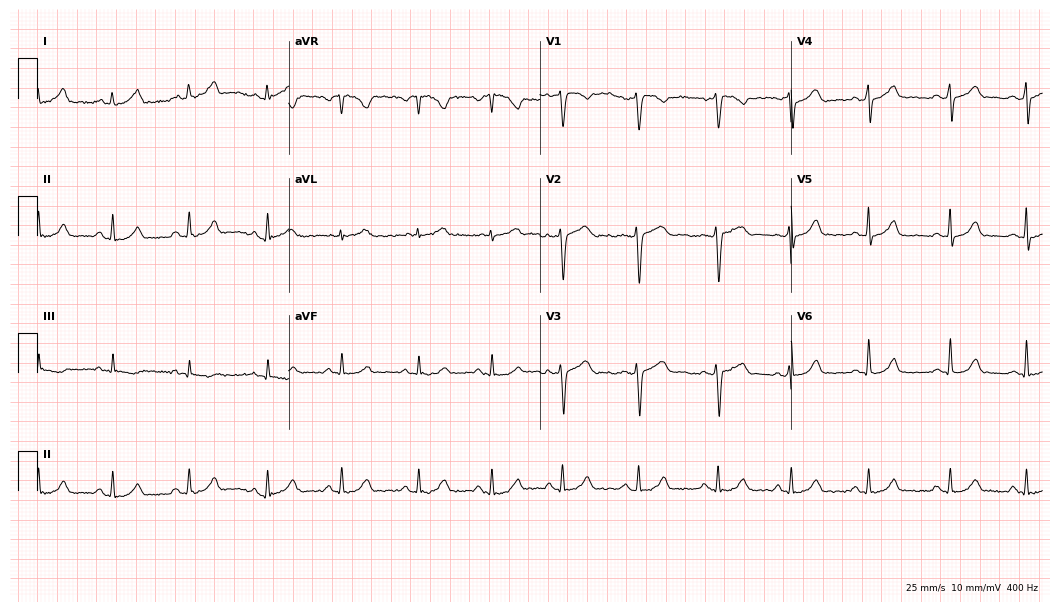
Electrocardiogram, a woman, 25 years old. Overall reading on record: normal ECG.